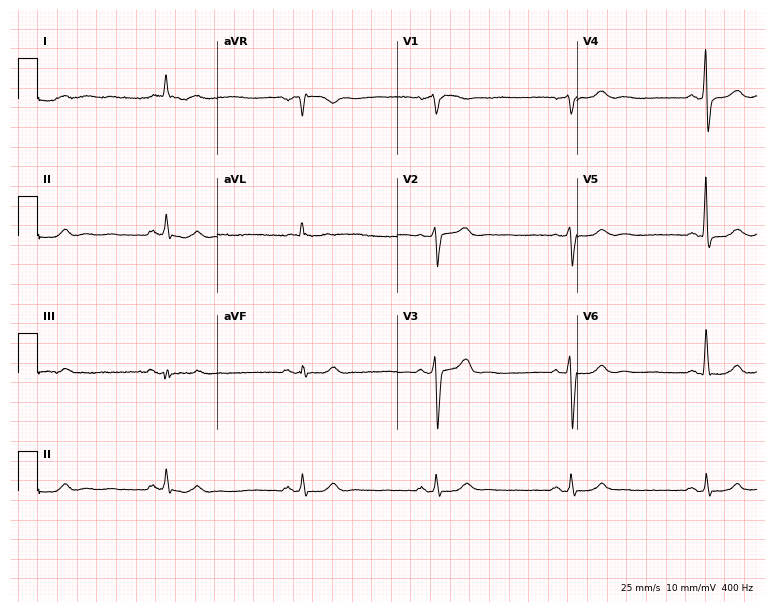
Resting 12-lead electrocardiogram (7.3-second recording at 400 Hz). Patient: an 82-year-old male. None of these six findings is recorded: first-degree AV block, right bundle branch block, left bundle branch block, sinus bradycardia, atrial fibrillation, sinus tachycardia. Findings outside these six are not listed.